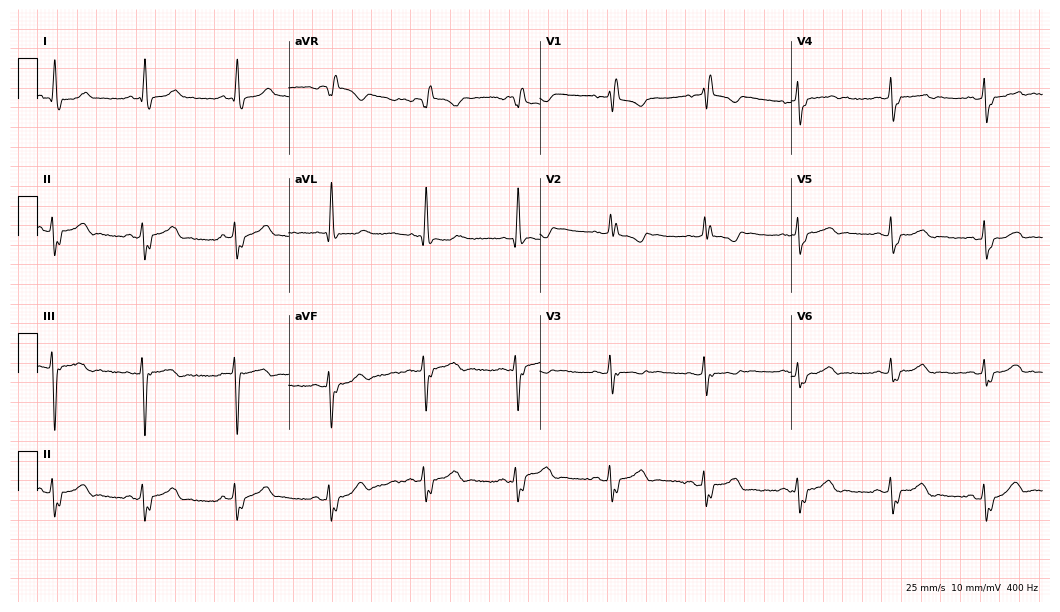
Electrocardiogram, a female patient, 64 years old. Of the six screened findings (first-degree AV block, right bundle branch block, left bundle branch block, sinus bradycardia, atrial fibrillation, sinus tachycardia), none is recorded. Only these six findings were labelled.